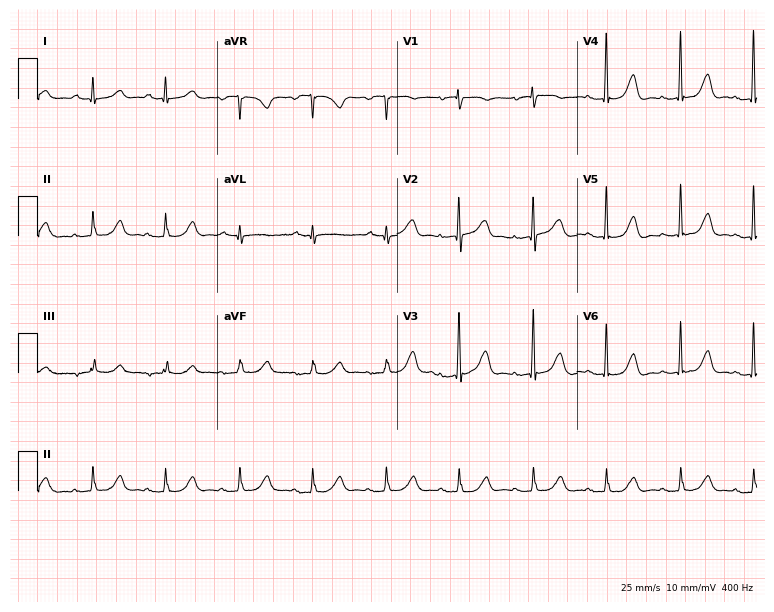
12-lead ECG (7.3-second recording at 400 Hz) from a male, 85 years old. Screened for six findings — first-degree AV block, right bundle branch block, left bundle branch block, sinus bradycardia, atrial fibrillation, sinus tachycardia — none is recorded.